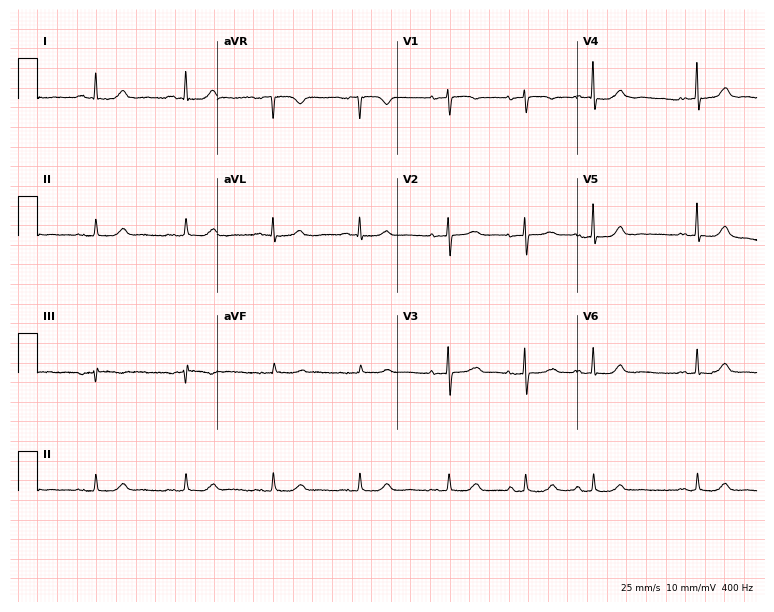
ECG — a female patient, 68 years old. Labelled as a normal ECG.